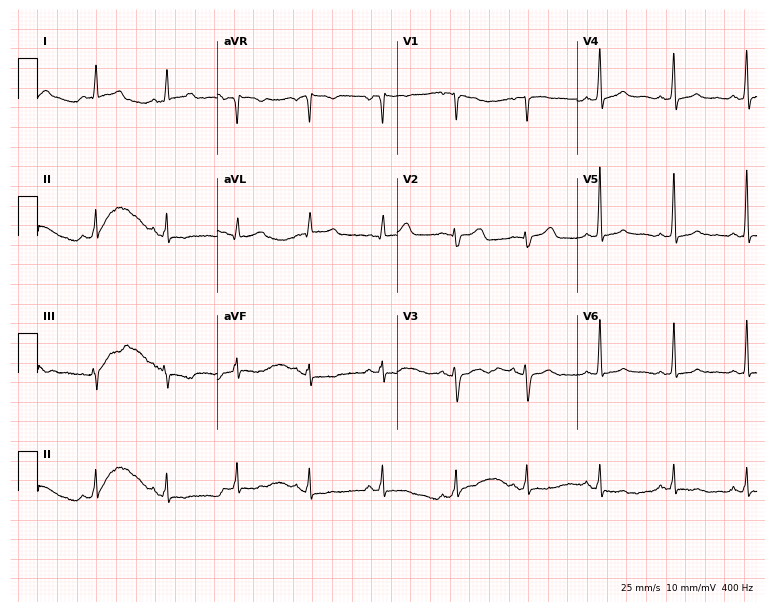
Standard 12-lead ECG recorded from a female, 36 years old. Read as a normal ECG.